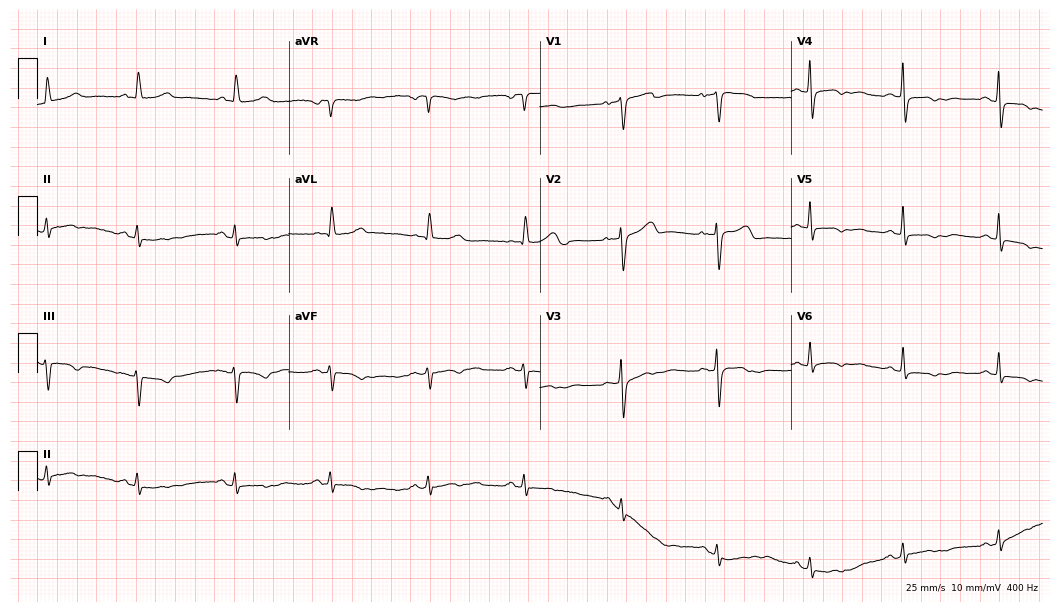
Electrocardiogram, a female patient, 71 years old. Of the six screened findings (first-degree AV block, right bundle branch block (RBBB), left bundle branch block (LBBB), sinus bradycardia, atrial fibrillation (AF), sinus tachycardia), none is recorded. Only these six findings were labelled.